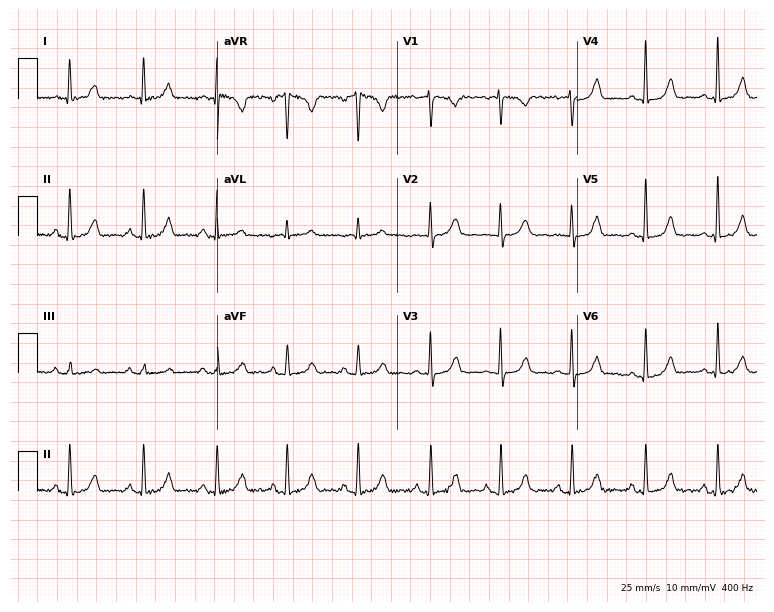
12-lead ECG (7.3-second recording at 400 Hz) from a female, 46 years old. Screened for six findings — first-degree AV block, right bundle branch block (RBBB), left bundle branch block (LBBB), sinus bradycardia, atrial fibrillation (AF), sinus tachycardia — none is recorded. Other findings, if any, are not listed.